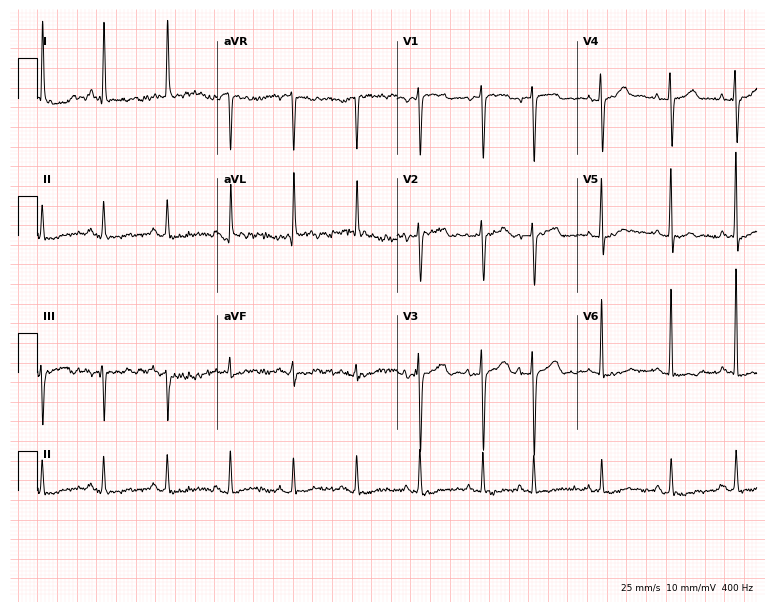
ECG — a 74-year-old woman. Screened for six findings — first-degree AV block, right bundle branch block, left bundle branch block, sinus bradycardia, atrial fibrillation, sinus tachycardia — none is recorded. Only these six findings were labelled.